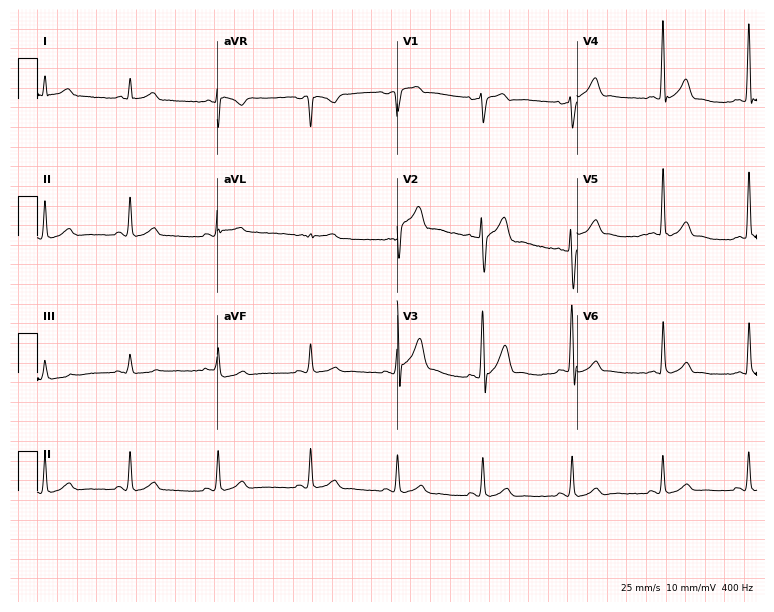
Standard 12-lead ECG recorded from a 26-year-old man. None of these six findings is recorded: first-degree AV block, right bundle branch block (RBBB), left bundle branch block (LBBB), sinus bradycardia, atrial fibrillation (AF), sinus tachycardia.